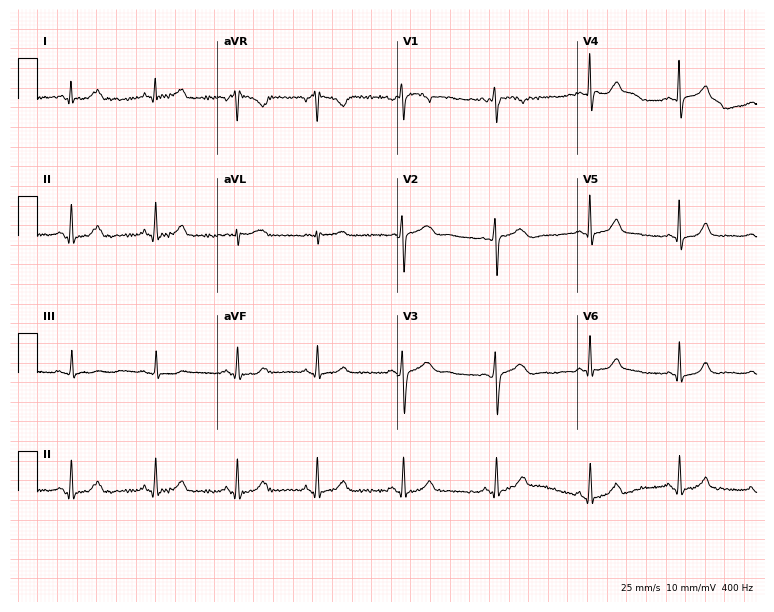
Standard 12-lead ECG recorded from a woman, 23 years old (7.3-second recording at 400 Hz). Read as a normal ECG.